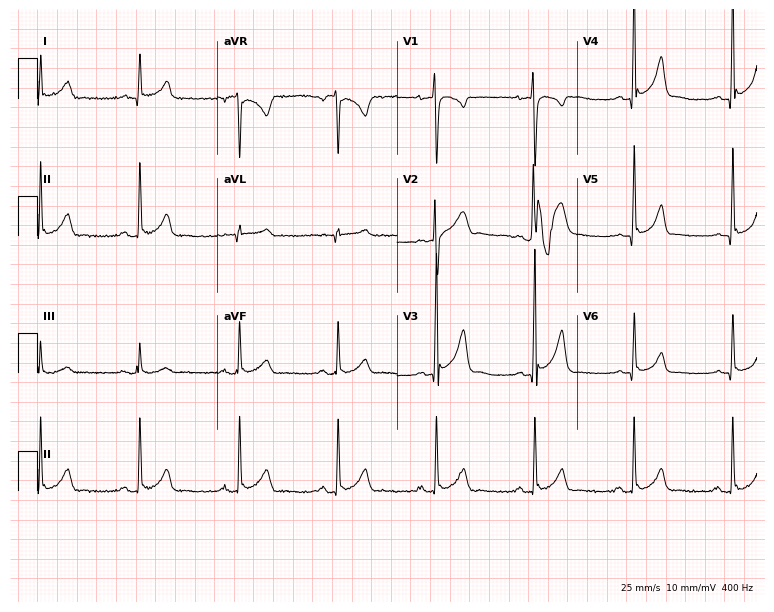
ECG (7.3-second recording at 400 Hz) — a man, 28 years old. Labelled as a normal ECG.